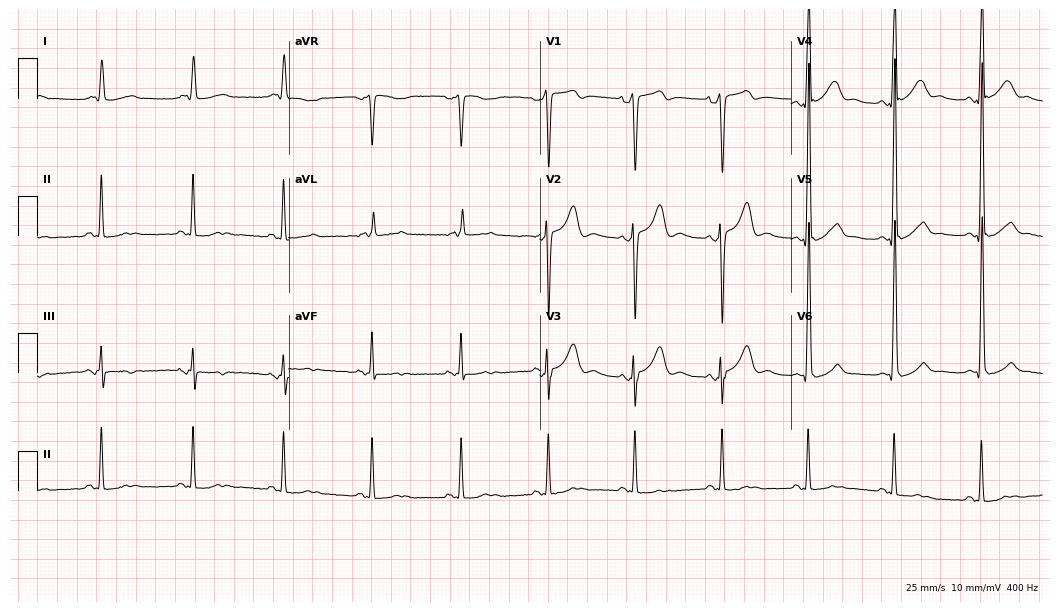
Resting 12-lead electrocardiogram (10.2-second recording at 400 Hz). Patient: a man, 46 years old. None of these six findings is recorded: first-degree AV block, right bundle branch block, left bundle branch block, sinus bradycardia, atrial fibrillation, sinus tachycardia. Other findings, if any, are not listed.